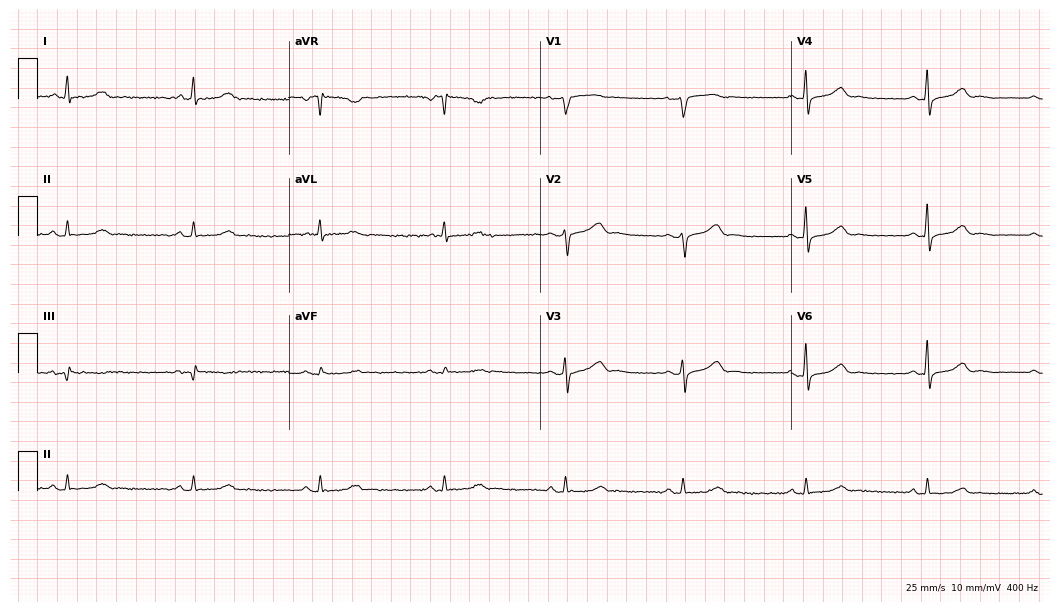
12-lead ECG from a 55-year-old woman. Shows sinus bradycardia (a sinus rate of 50 beats per minute or less).